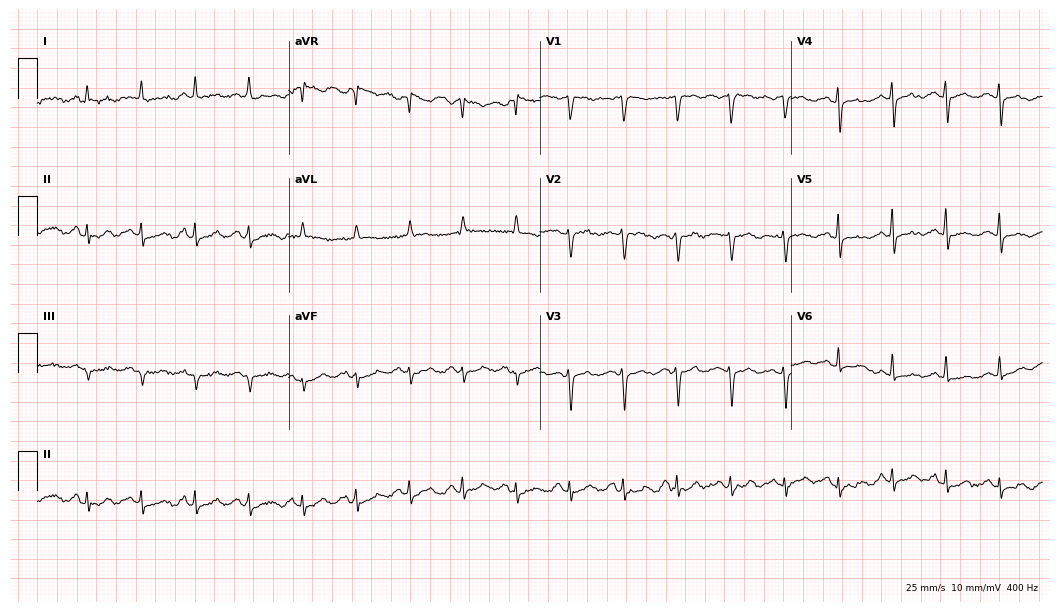
12-lead ECG from a 61-year-old female. No first-degree AV block, right bundle branch block (RBBB), left bundle branch block (LBBB), sinus bradycardia, atrial fibrillation (AF) or sinus tachycardia recorded for this tracing. Only these six findings were labelled.